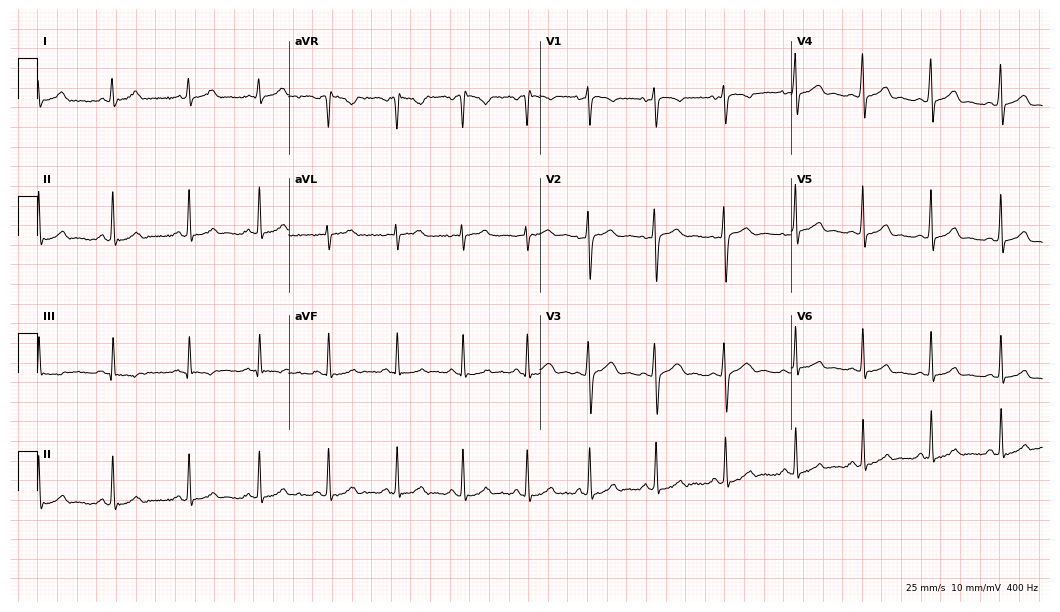
Resting 12-lead electrocardiogram. Patient: a female, 25 years old. Read as a normal ECG.